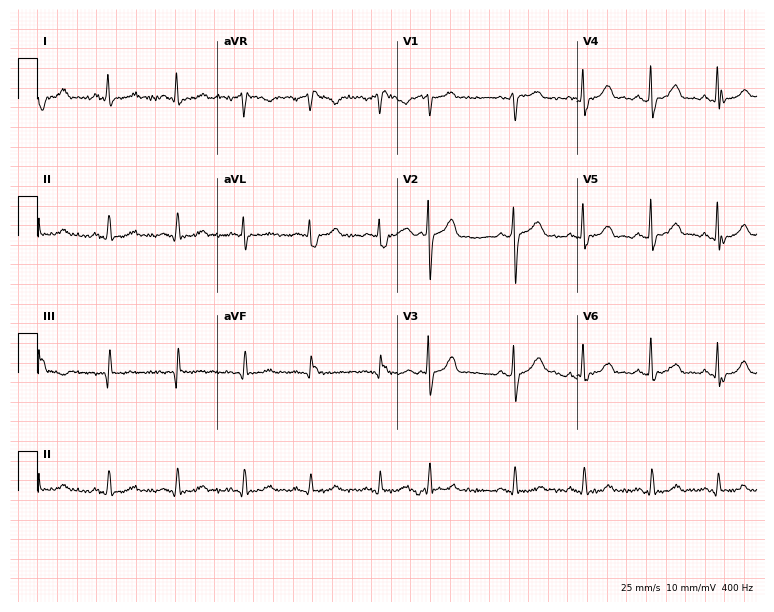
12-lead ECG from a male patient, 63 years old. Shows right bundle branch block (RBBB).